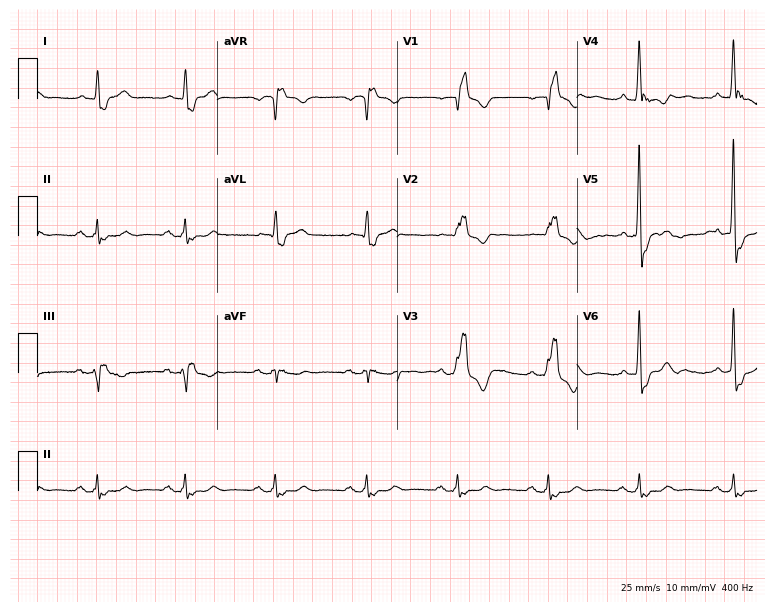
12-lead ECG from a 65-year-old male. Shows right bundle branch block.